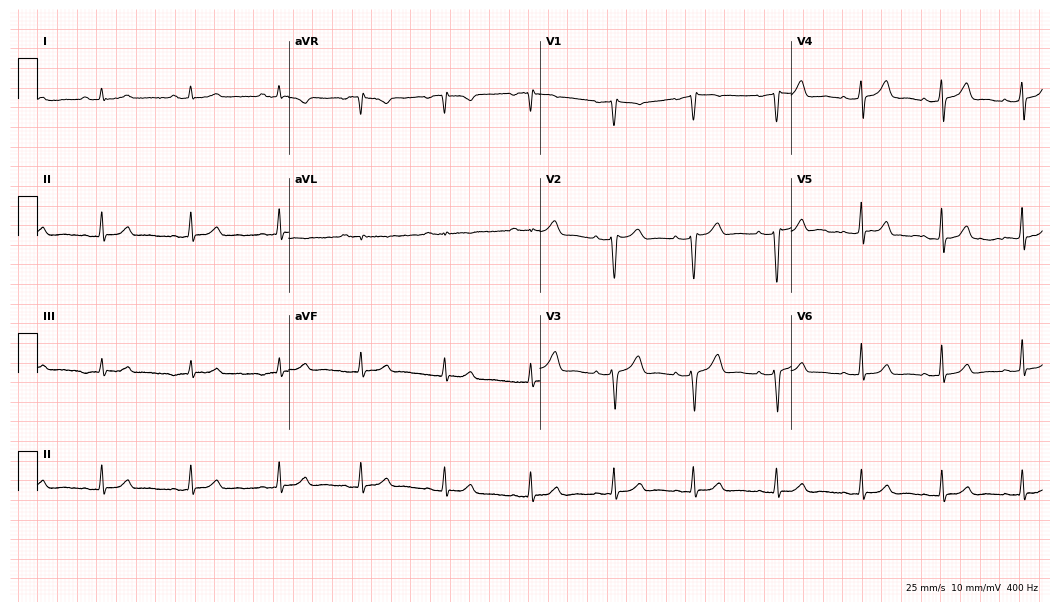
Resting 12-lead electrocardiogram. Patient: a 40-year-old woman. Read as a normal ECG.